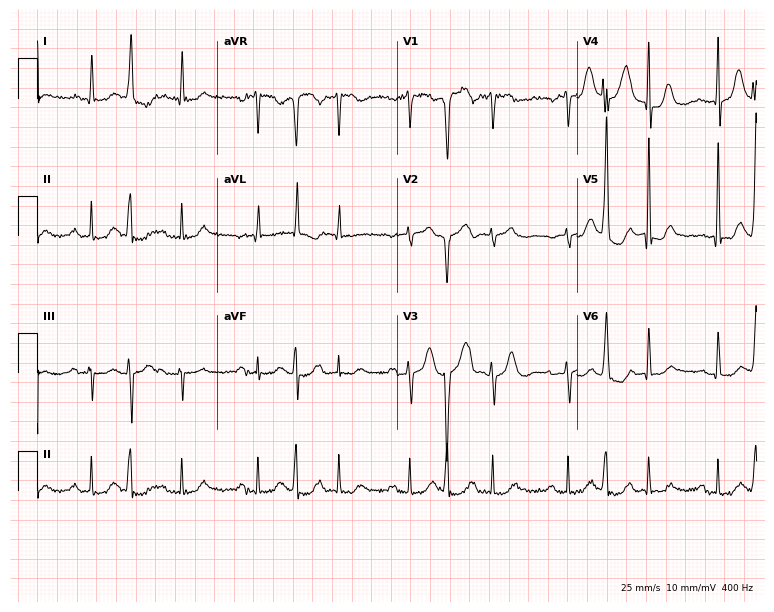
ECG (7.3-second recording at 400 Hz) — an 81-year-old female. Screened for six findings — first-degree AV block, right bundle branch block, left bundle branch block, sinus bradycardia, atrial fibrillation, sinus tachycardia — none is recorded.